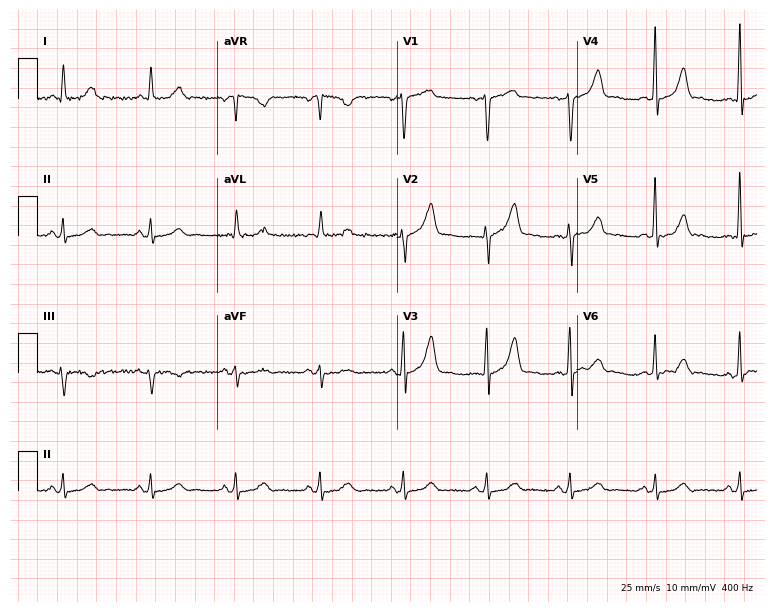
12-lead ECG from a 60-year-old male. Recorded interpretation: within normal limits.